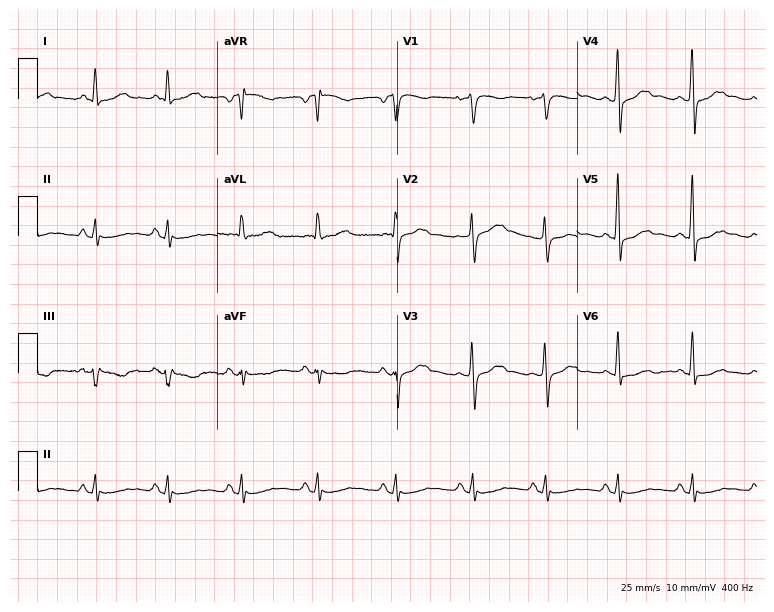
Standard 12-lead ECG recorded from a 51-year-old woman. None of these six findings is recorded: first-degree AV block, right bundle branch block (RBBB), left bundle branch block (LBBB), sinus bradycardia, atrial fibrillation (AF), sinus tachycardia.